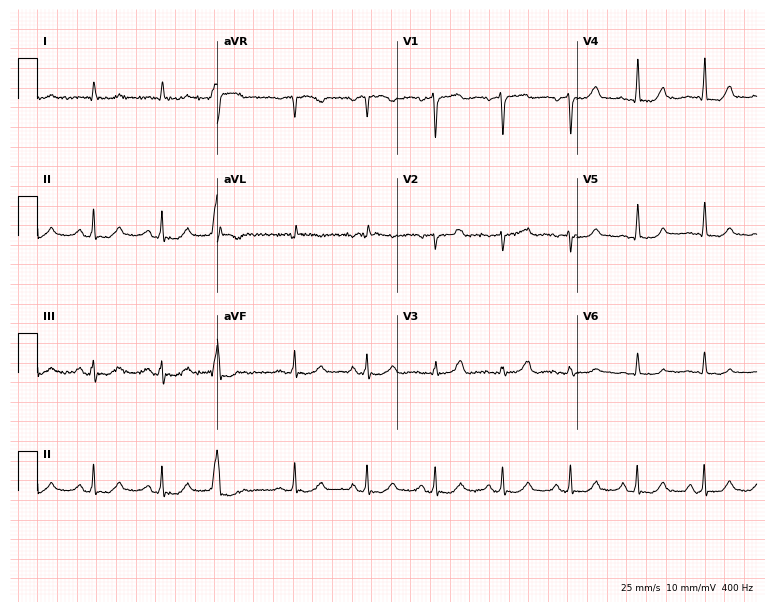
Standard 12-lead ECG recorded from a male, 82 years old. Read as a normal ECG.